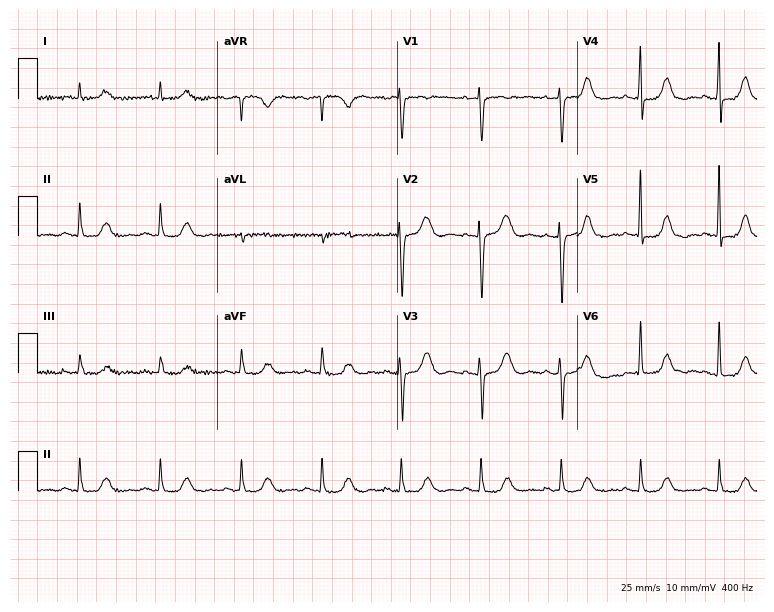
Resting 12-lead electrocardiogram. Patient: a 71-year-old female. Read as a normal ECG.